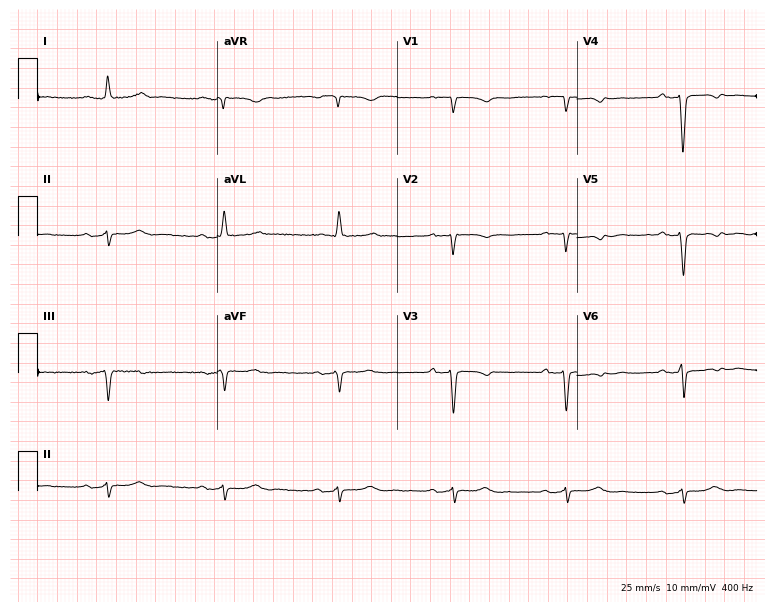
12-lead ECG from a 42-year-old female. No first-degree AV block, right bundle branch block, left bundle branch block, sinus bradycardia, atrial fibrillation or sinus tachycardia recorded for this tracing. Only these six findings were labelled.